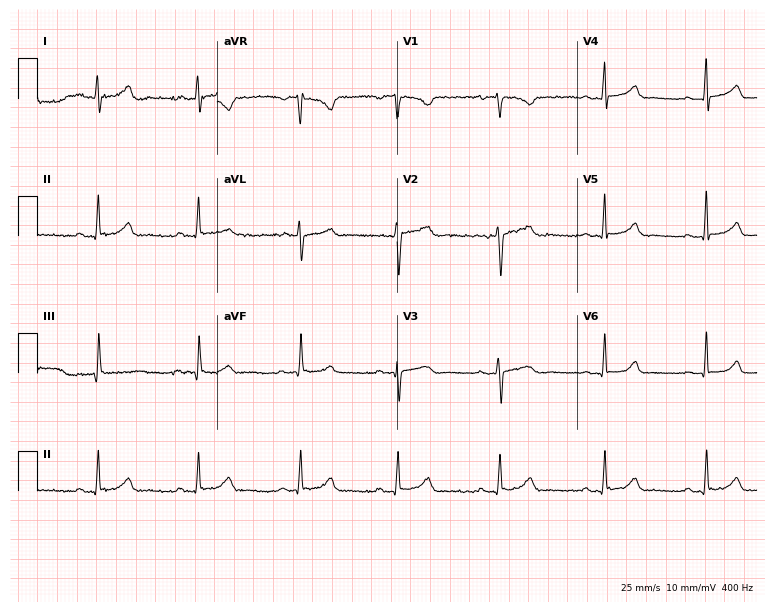
Standard 12-lead ECG recorded from a woman, 31 years old. None of these six findings is recorded: first-degree AV block, right bundle branch block (RBBB), left bundle branch block (LBBB), sinus bradycardia, atrial fibrillation (AF), sinus tachycardia.